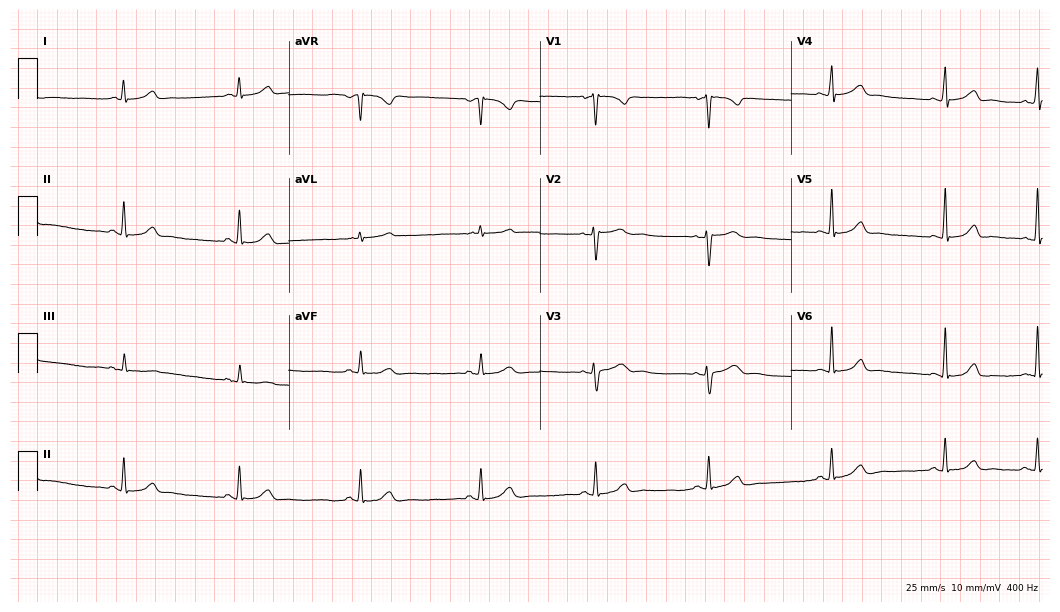
Standard 12-lead ECG recorded from a 33-year-old woman. None of these six findings is recorded: first-degree AV block, right bundle branch block (RBBB), left bundle branch block (LBBB), sinus bradycardia, atrial fibrillation (AF), sinus tachycardia. Findings outside these six are not listed.